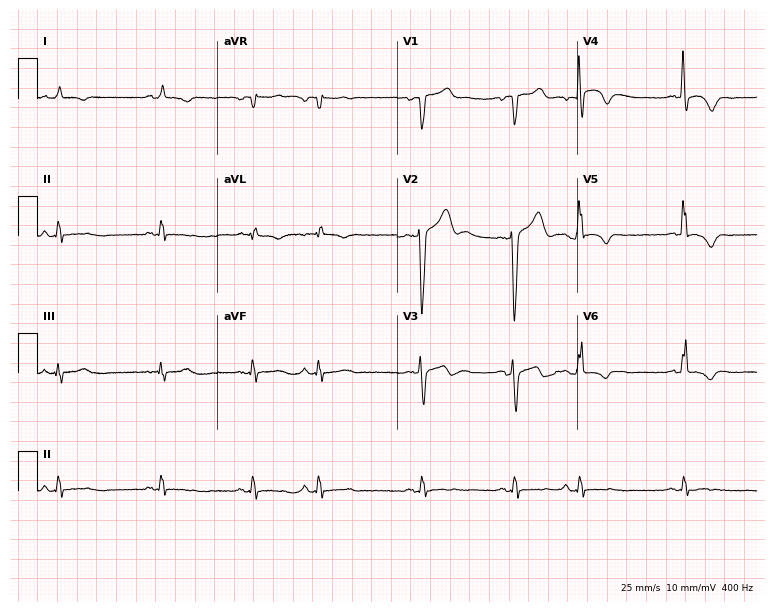
ECG (7.3-second recording at 400 Hz) — a man, 59 years old. Screened for six findings — first-degree AV block, right bundle branch block, left bundle branch block, sinus bradycardia, atrial fibrillation, sinus tachycardia — none is recorded.